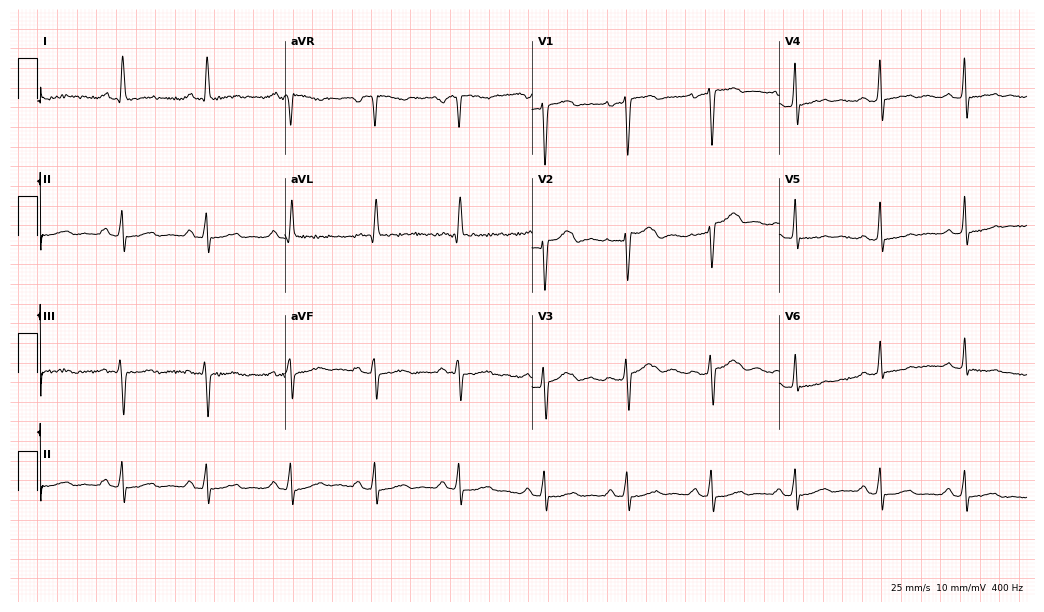
12-lead ECG from a woman, 52 years old. No first-degree AV block, right bundle branch block, left bundle branch block, sinus bradycardia, atrial fibrillation or sinus tachycardia recorded for this tracing.